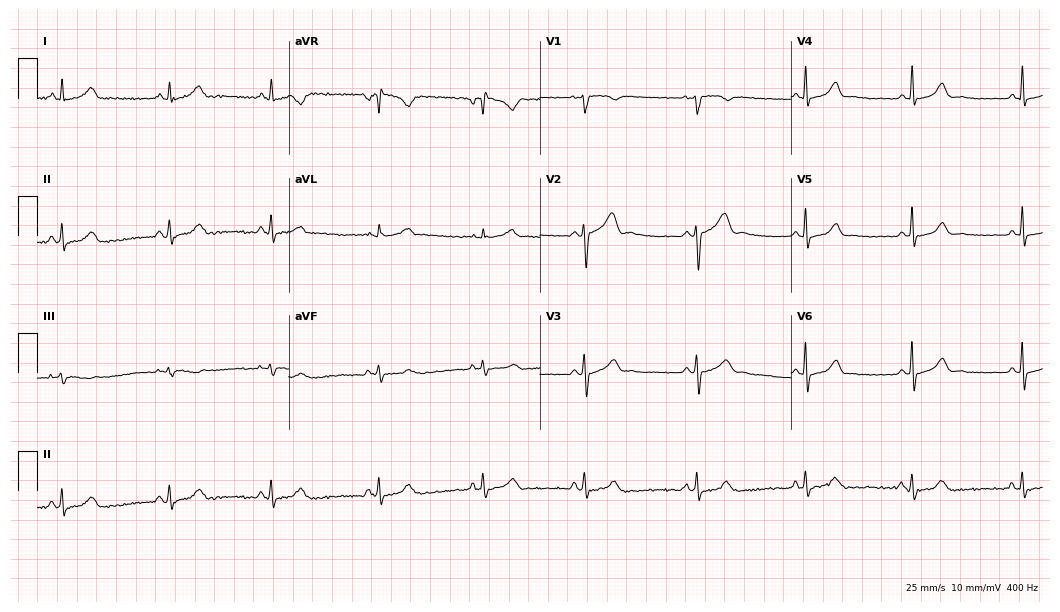
Standard 12-lead ECG recorded from a 22-year-old female (10.2-second recording at 400 Hz). None of these six findings is recorded: first-degree AV block, right bundle branch block, left bundle branch block, sinus bradycardia, atrial fibrillation, sinus tachycardia. Other findings, if any, are not listed.